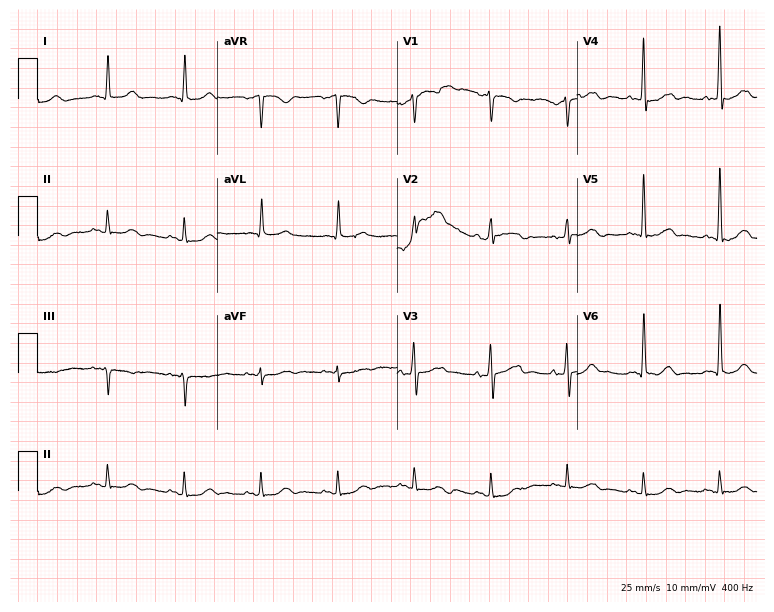
Standard 12-lead ECG recorded from a male, 66 years old (7.3-second recording at 400 Hz). Read as a normal ECG.